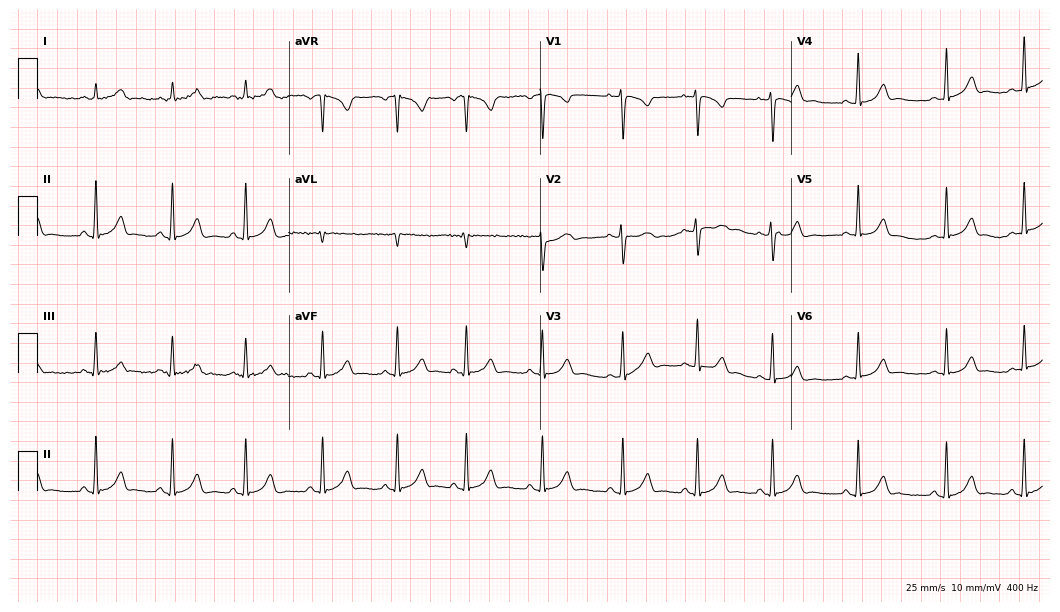
12-lead ECG from a female patient, 18 years old. Recorded interpretation: within normal limits.